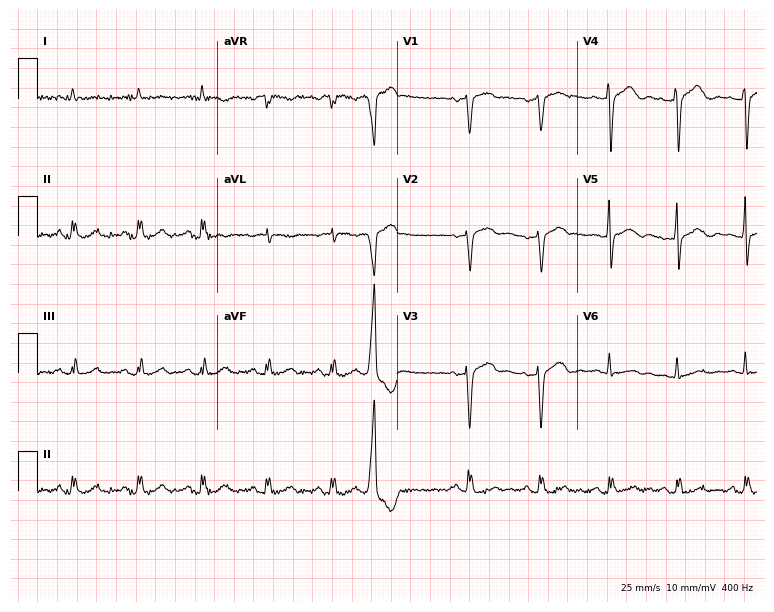
12-lead ECG from a 75-year-old male patient. Screened for six findings — first-degree AV block, right bundle branch block, left bundle branch block, sinus bradycardia, atrial fibrillation, sinus tachycardia — none is recorded.